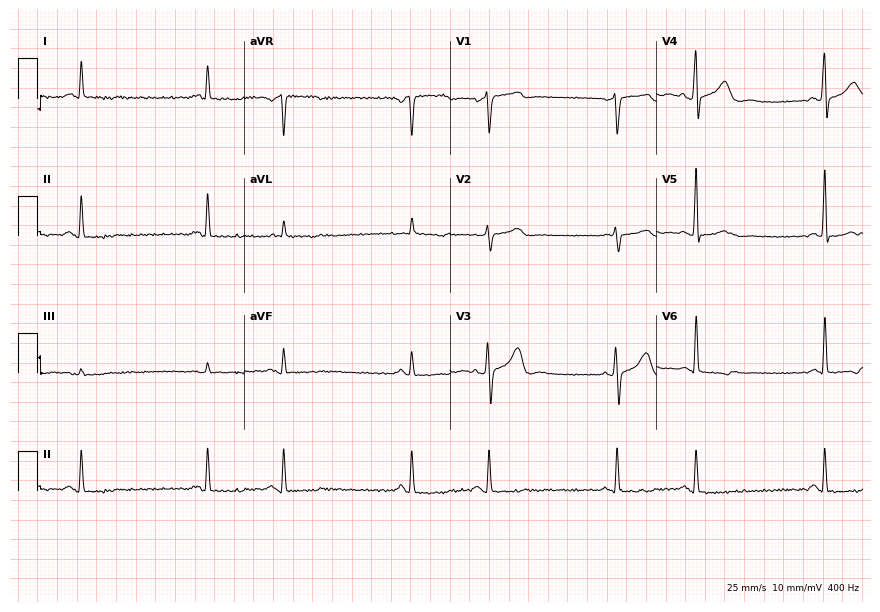
Electrocardiogram, a 74-year-old male patient. Of the six screened findings (first-degree AV block, right bundle branch block (RBBB), left bundle branch block (LBBB), sinus bradycardia, atrial fibrillation (AF), sinus tachycardia), none is recorded. Other findings, if any, are not listed.